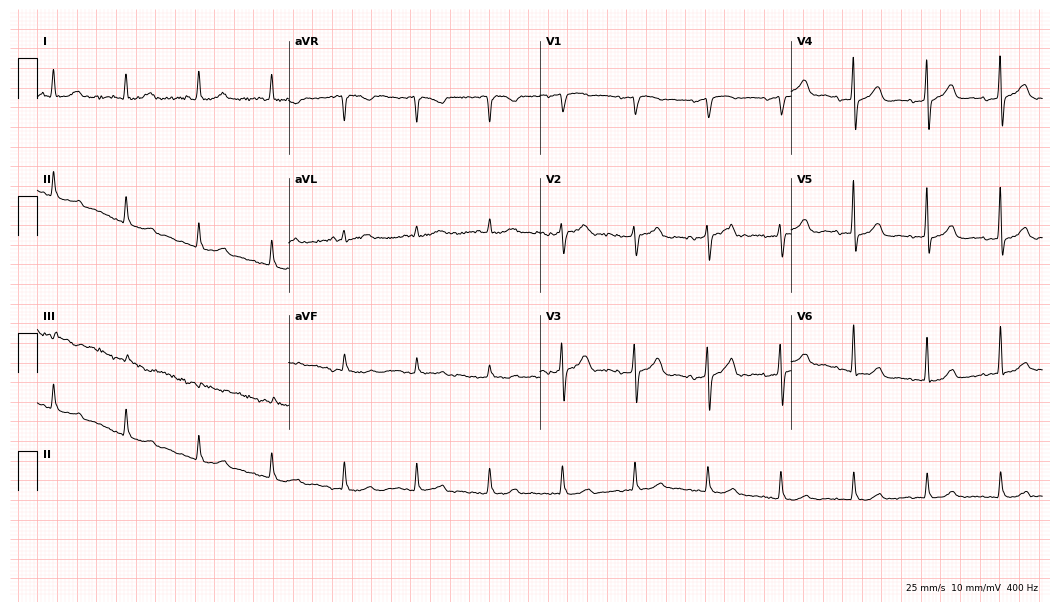
Resting 12-lead electrocardiogram. Patient: a 73-year-old female. Read as a normal ECG.